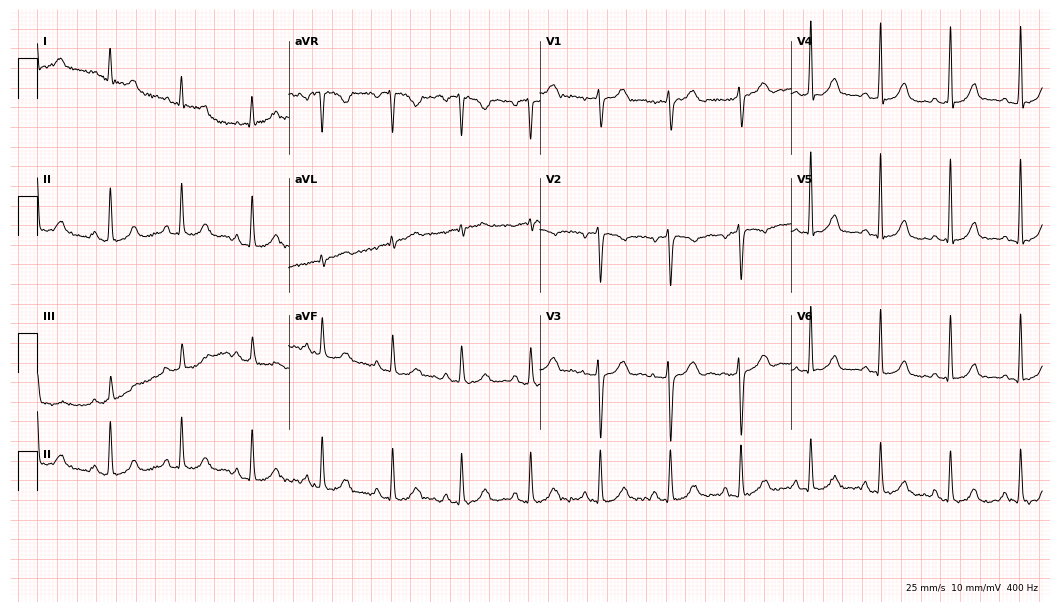
Resting 12-lead electrocardiogram. Patient: a 38-year-old female. Read as a normal ECG.